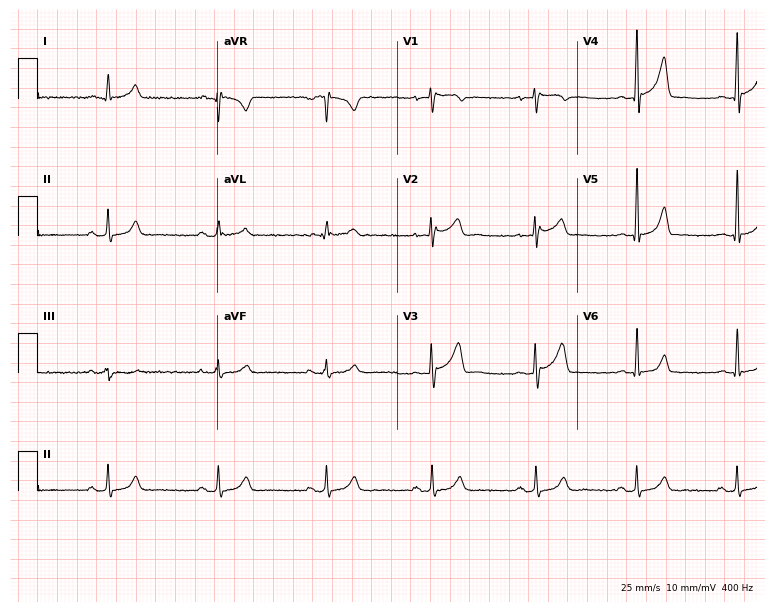
Standard 12-lead ECG recorded from a man, 36 years old. None of these six findings is recorded: first-degree AV block, right bundle branch block, left bundle branch block, sinus bradycardia, atrial fibrillation, sinus tachycardia.